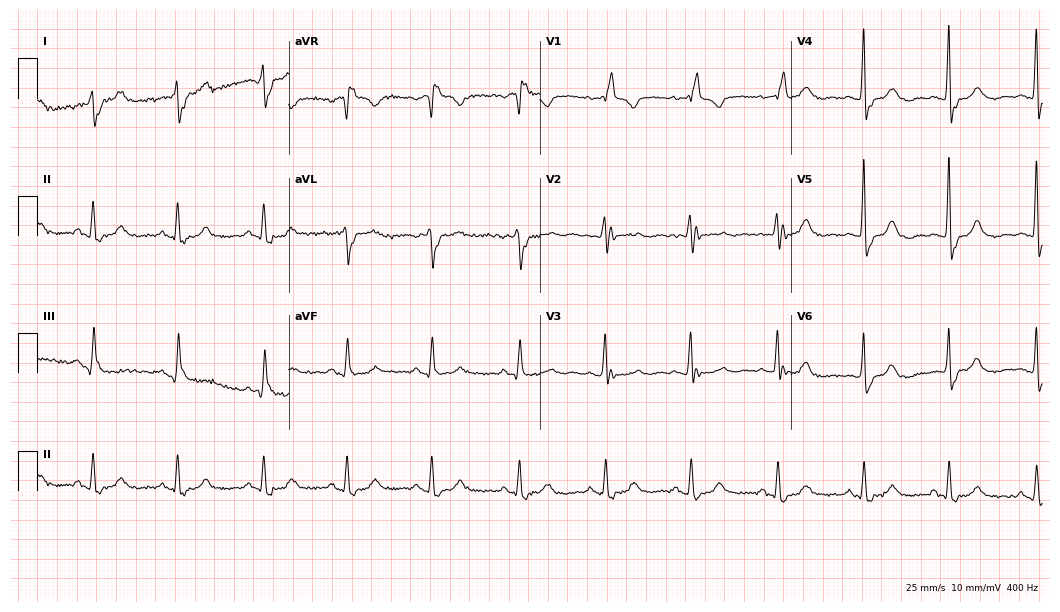
Resting 12-lead electrocardiogram. Patient: a woman, 80 years old. The tracing shows right bundle branch block.